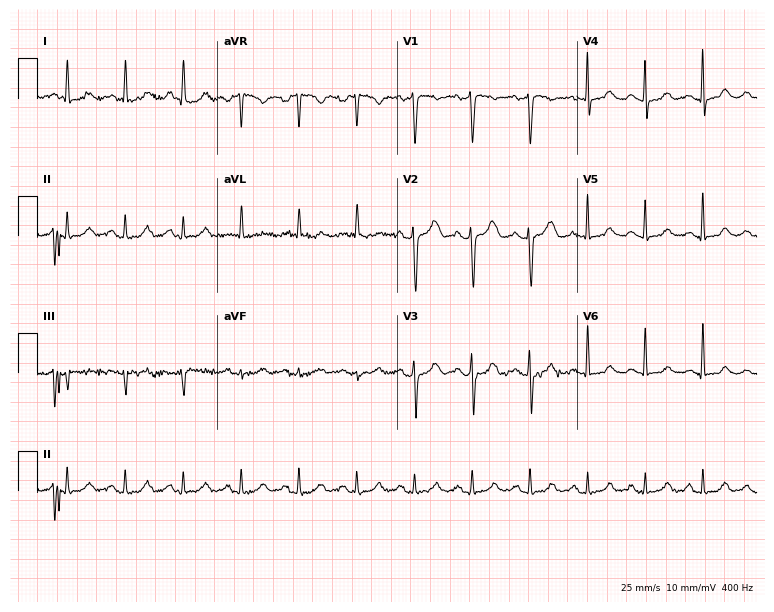
ECG — an 81-year-old woman. Labelled as a normal ECG.